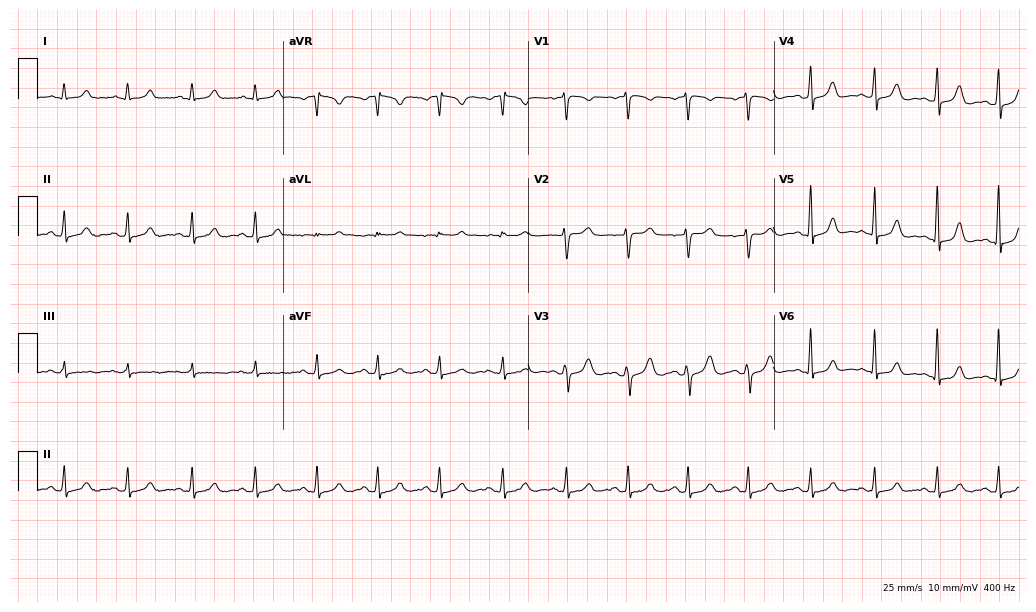
12-lead ECG from a 37-year-old female (10-second recording at 400 Hz). No first-degree AV block, right bundle branch block, left bundle branch block, sinus bradycardia, atrial fibrillation or sinus tachycardia recorded for this tracing. Findings outside these six are not listed.